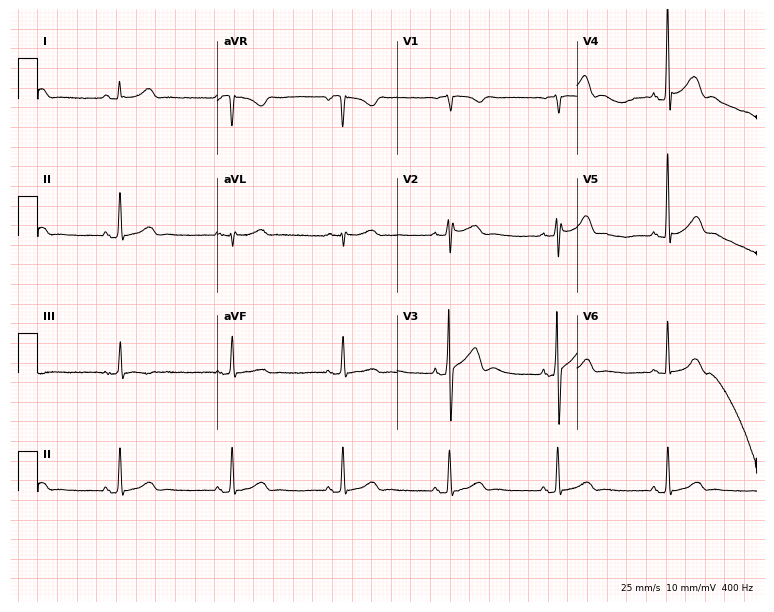
12-lead ECG (7.3-second recording at 400 Hz) from a 46-year-old female patient. Labelled as a normal ECG.